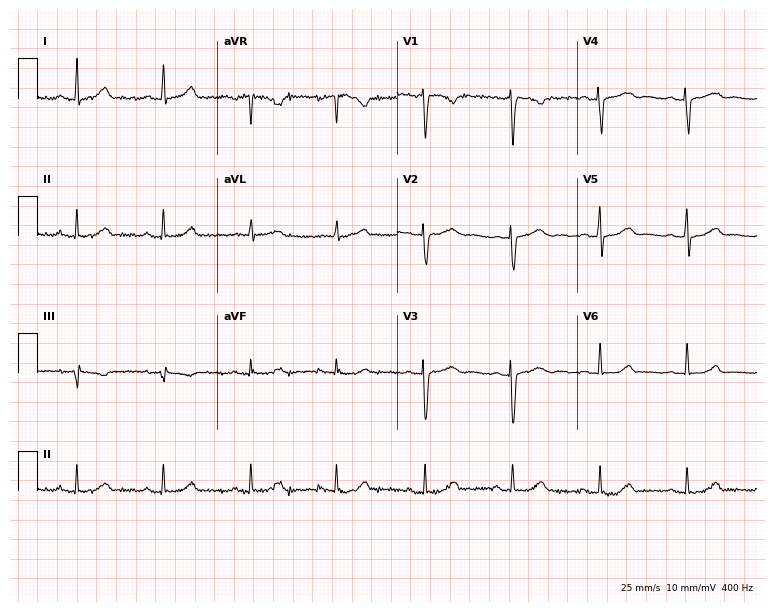
12-lead ECG from a 45-year-old woman. No first-degree AV block, right bundle branch block, left bundle branch block, sinus bradycardia, atrial fibrillation or sinus tachycardia recorded for this tracing.